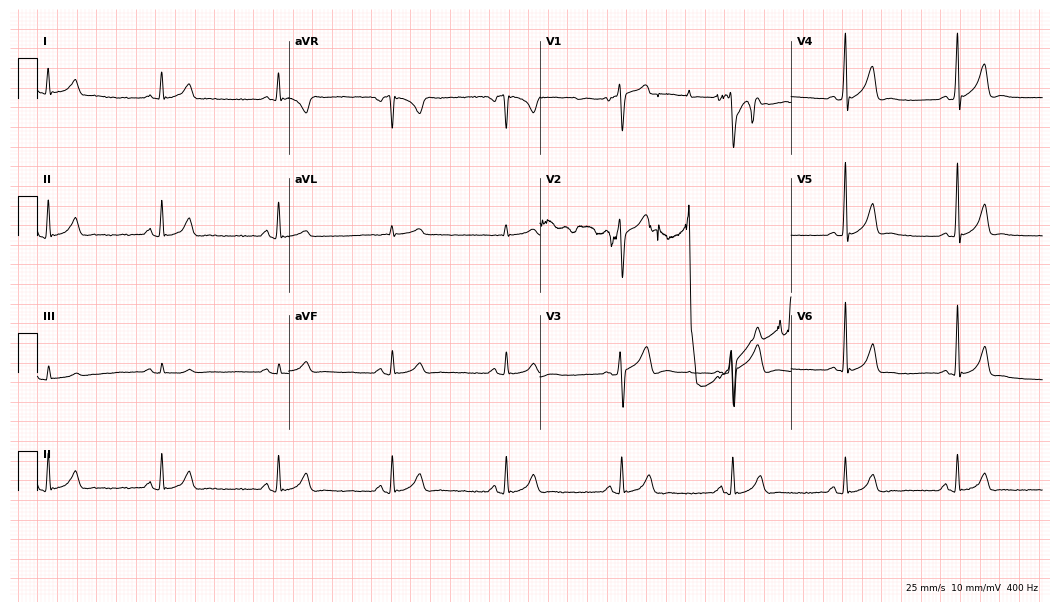
12-lead ECG from a 39-year-old male. Labelled as a normal ECG.